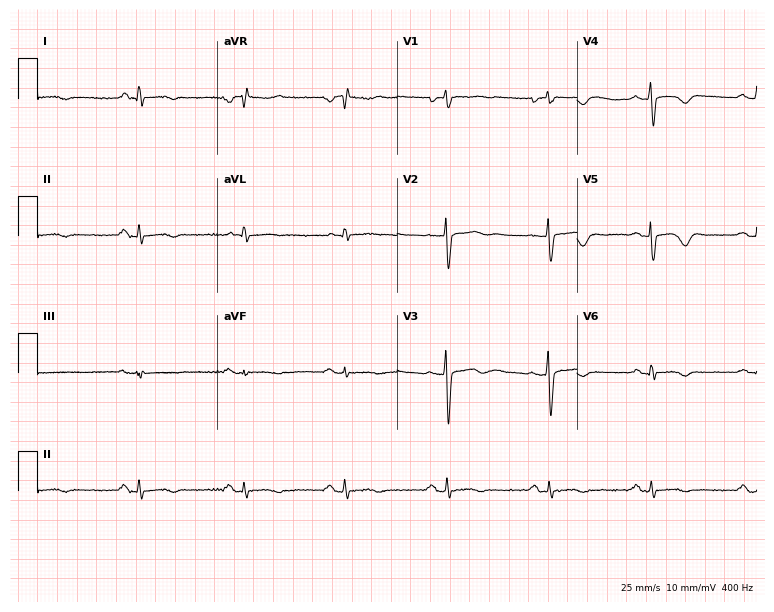
12-lead ECG (7.3-second recording at 400 Hz) from a female patient, 55 years old. Screened for six findings — first-degree AV block, right bundle branch block, left bundle branch block, sinus bradycardia, atrial fibrillation, sinus tachycardia — none is recorded. Other findings, if any, are not listed.